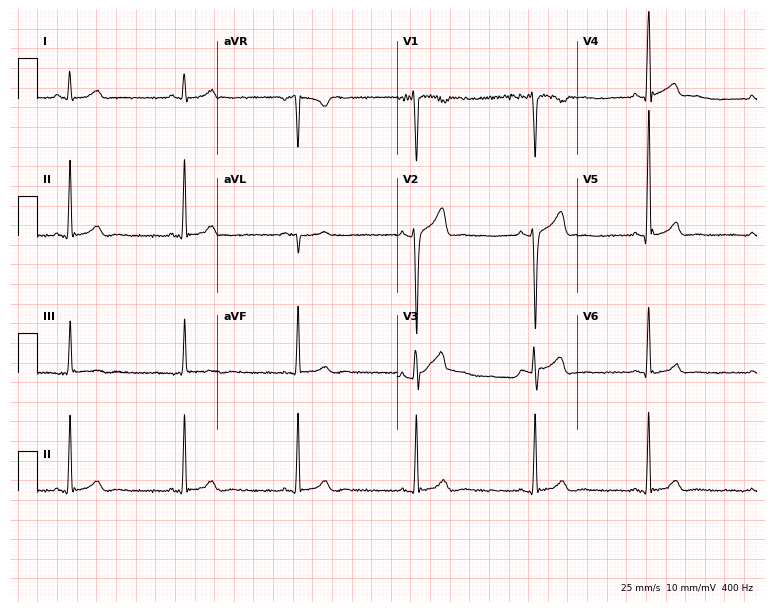
ECG (7.3-second recording at 400 Hz) — a 35-year-old male patient. Screened for six findings — first-degree AV block, right bundle branch block, left bundle branch block, sinus bradycardia, atrial fibrillation, sinus tachycardia — none is recorded. Other findings, if any, are not listed.